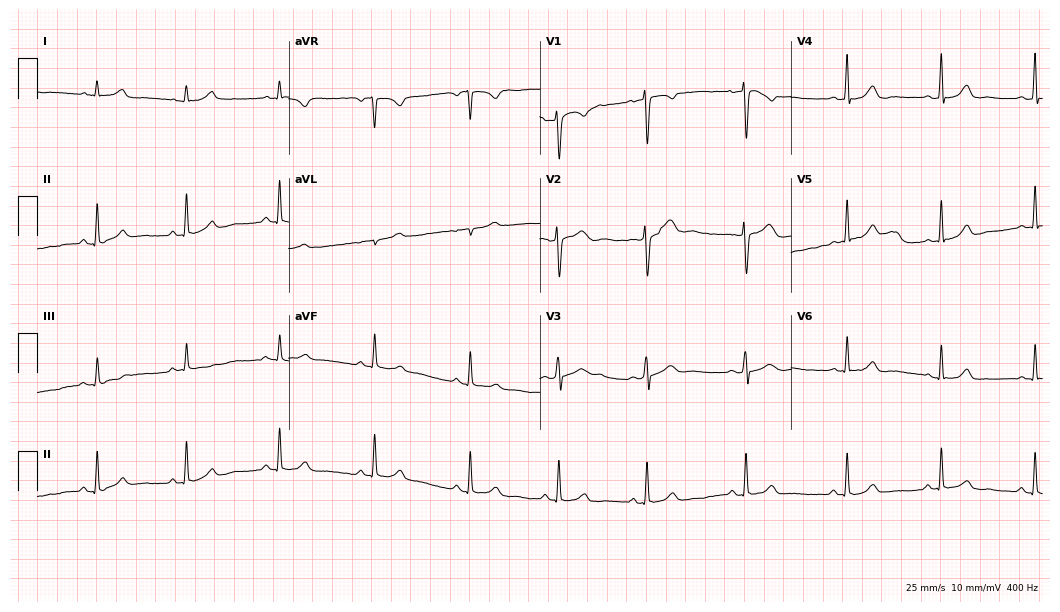
12-lead ECG (10.2-second recording at 400 Hz) from a female, 23 years old. Labelled as a normal ECG.